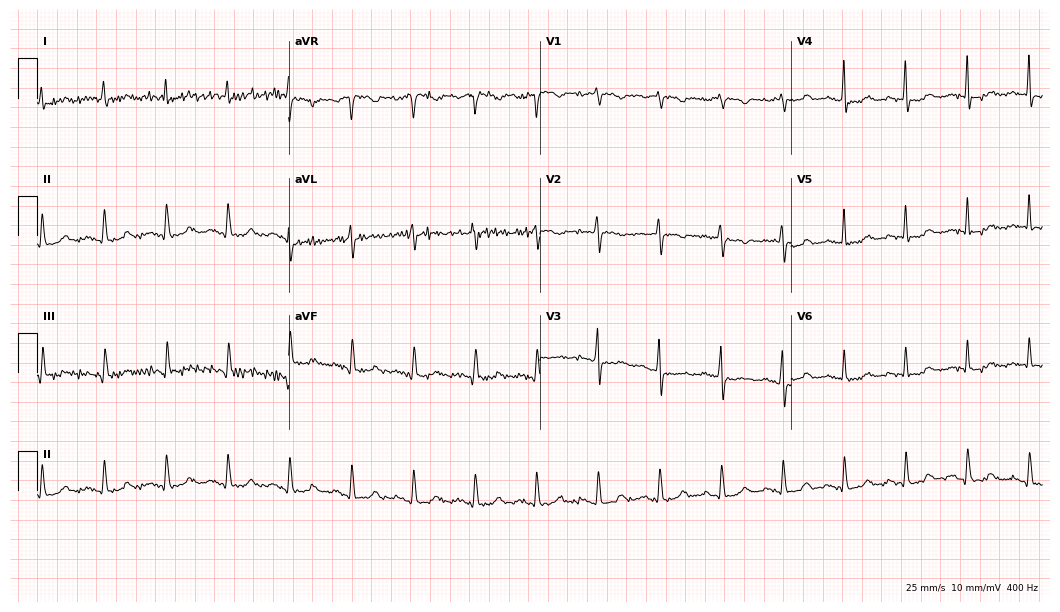
Resting 12-lead electrocardiogram. Patient: a woman, 79 years old. None of these six findings is recorded: first-degree AV block, right bundle branch block (RBBB), left bundle branch block (LBBB), sinus bradycardia, atrial fibrillation (AF), sinus tachycardia.